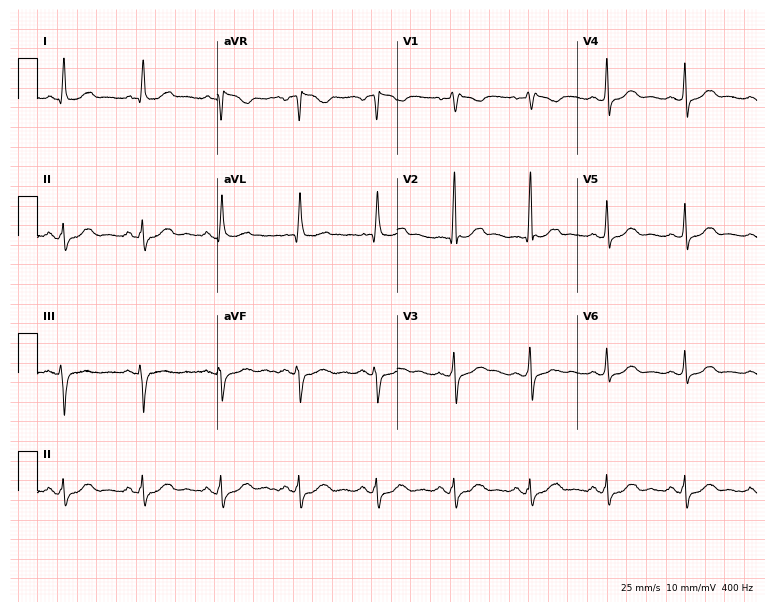
12-lead ECG from a 64-year-old female patient. No first-degree AV block, right bundle branch block (RBBB), left bundle branch block (LBBB), sinus bradycardia, atrial fibrillation (AF) or sinus tachycardia recorded for this tracing.